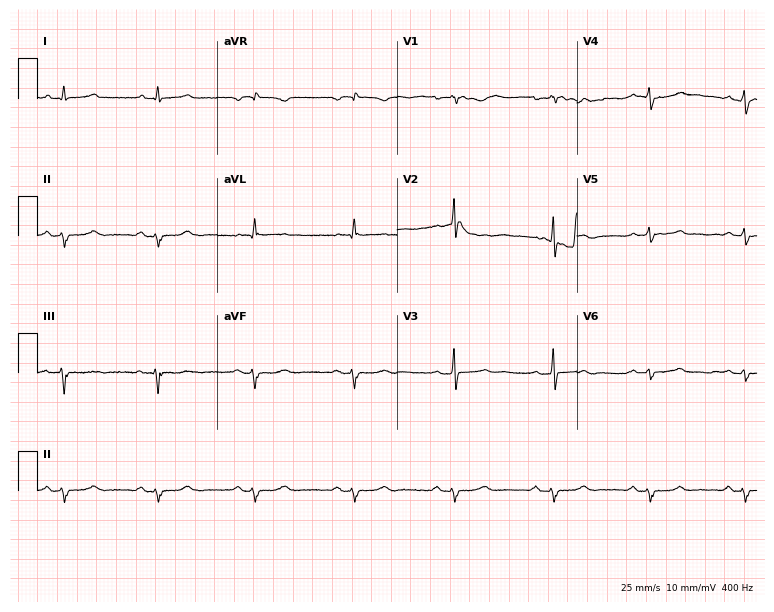
Electrocardiogram (7.3-second recording at 400 Hz), a 46-year-old female patient. Of the six screened findings (first-degree AV block, right bundle branch block (RBBB), left bundle branch block (LBBB), sinus bradycardia, atrial fibrillation (AF), sinus tachycardia), none is recorded. Findings outside these six are not listed.